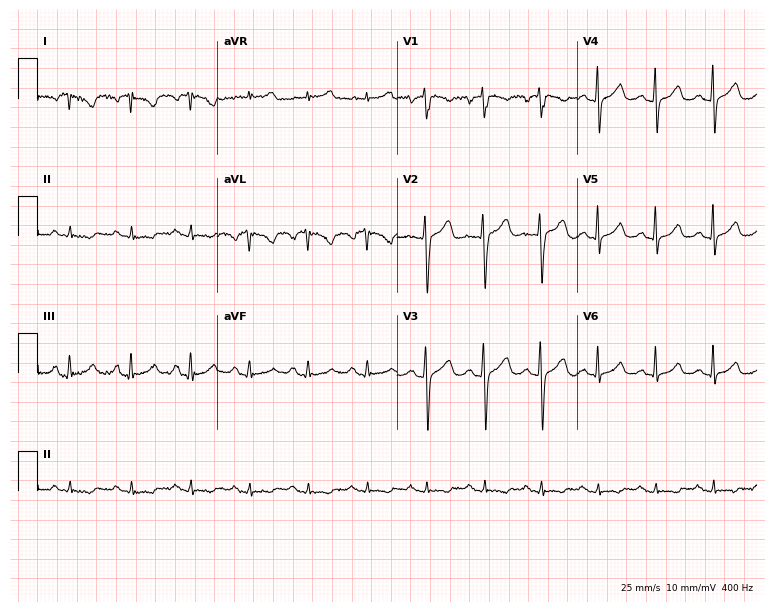
Electrocardiogram, a 34-year-old female. Of the six screened findings (first-degree AV block, right bundle branch block, left bundle branch block, sinus bradycardia, atrial fibrillation, sinus tachycardia), none is recorded. Only these six findings were labelled.